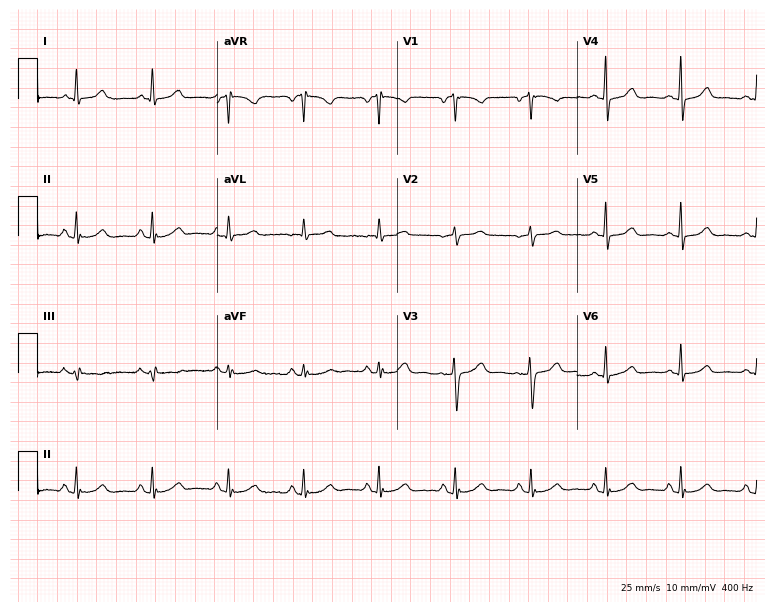
Resting 12-lead electrocardiogram. Patient: a female, 61 years old. Read as a normal ECG.